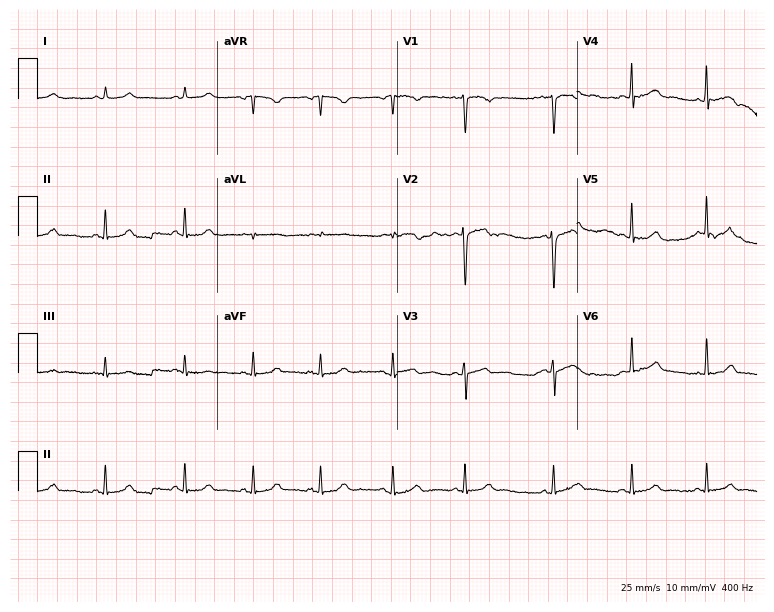
12-lead ECG from a female patient, 20 years old. No first-degree AV block, right bundle branch block (RBBB), left bundle branch block (LBBB), sinus bradycardia, atrial fibrillation (AF) or sinus tachycardia recorded for this tracing. Other findings, if any, are not listed.